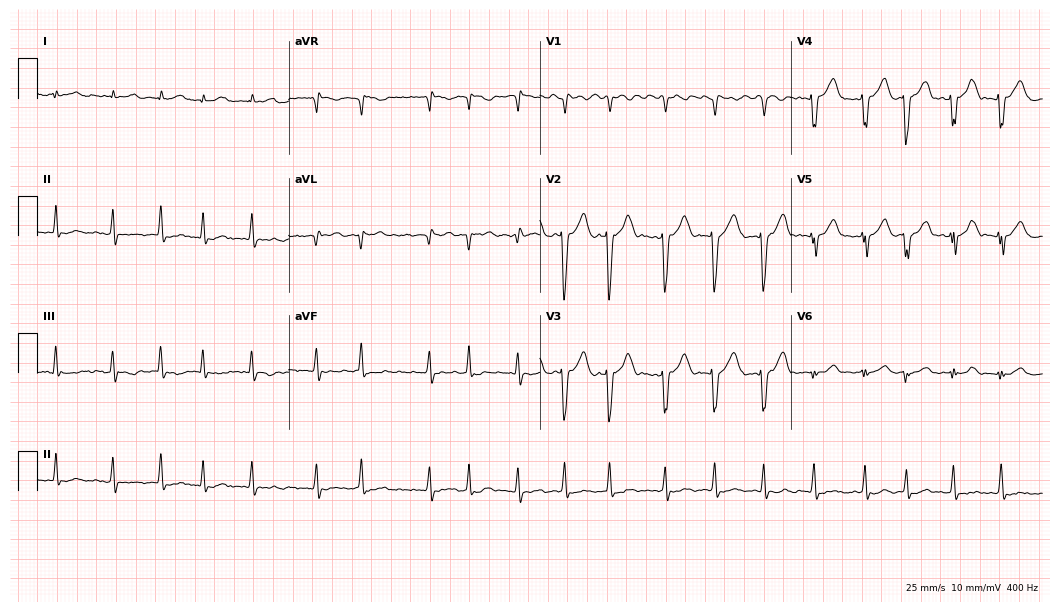
12-lead ECG from a 74-year-old man. Findings include atrial fibrillation.